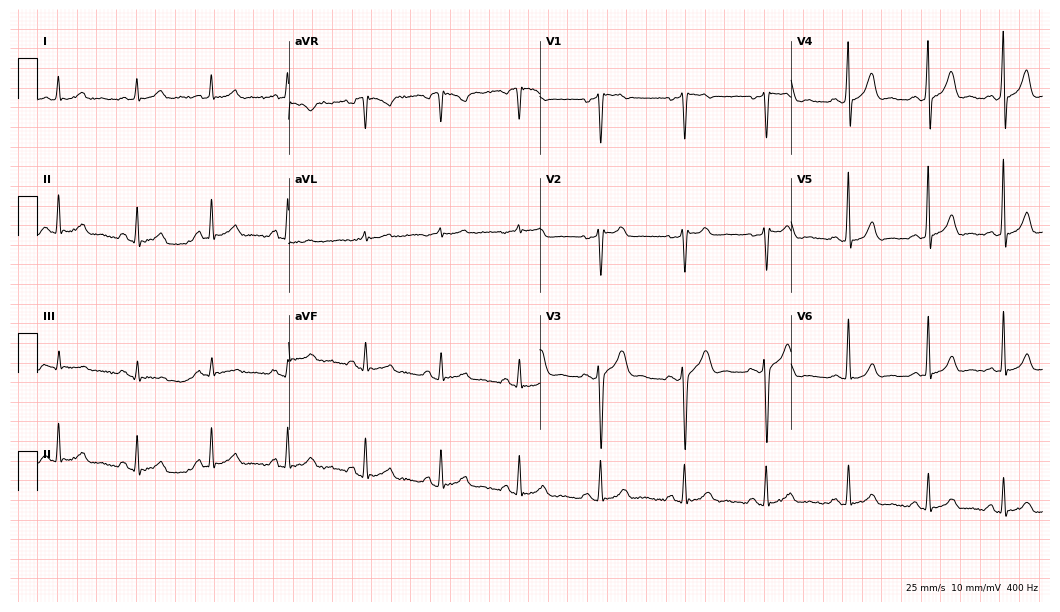
12-lead ECG from a 29-year-old male. Recorded interpretation: within normal limits.